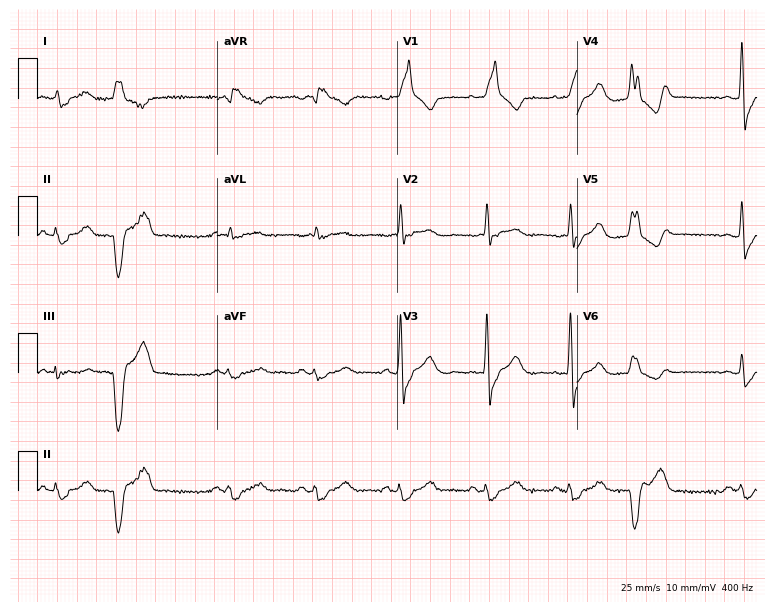
Standard 12-lead ECG recorded from a male patient, 84 years old. The tracing shows right bundle branch block.